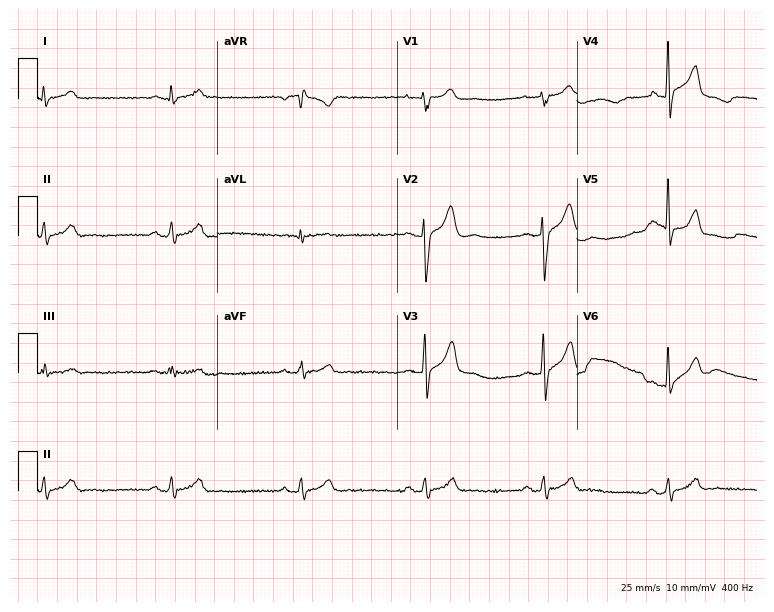
12-lead ECG (7.3-second recording at 400 Hz) from a 33-year-old male patient. Screened for six findings — first-degree AV block, right bundle branch block, left bundle branch block, sinus bradycardia, atrial fibrillation, sinus tachycardia — none is recorded.